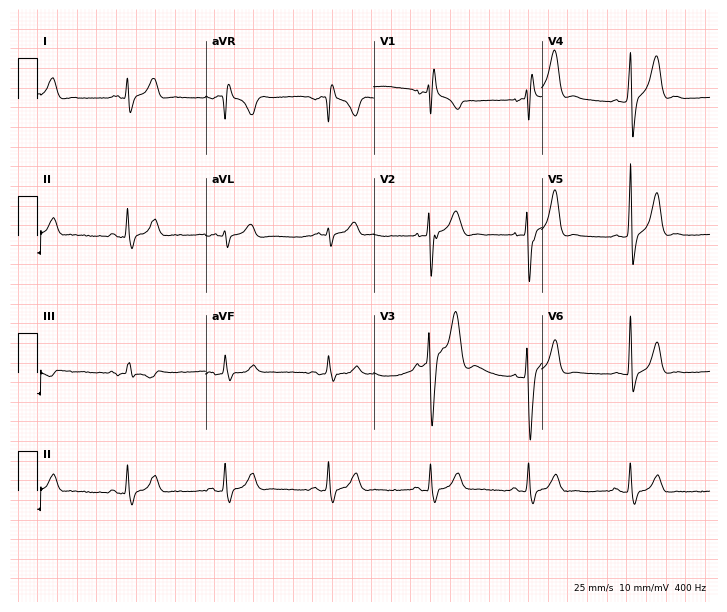
Resting 12-lead electrocardiogram (6.9-second recording at 400 Hz). Patient: a male, 49 years old. The tracing shows right bundle branch block.